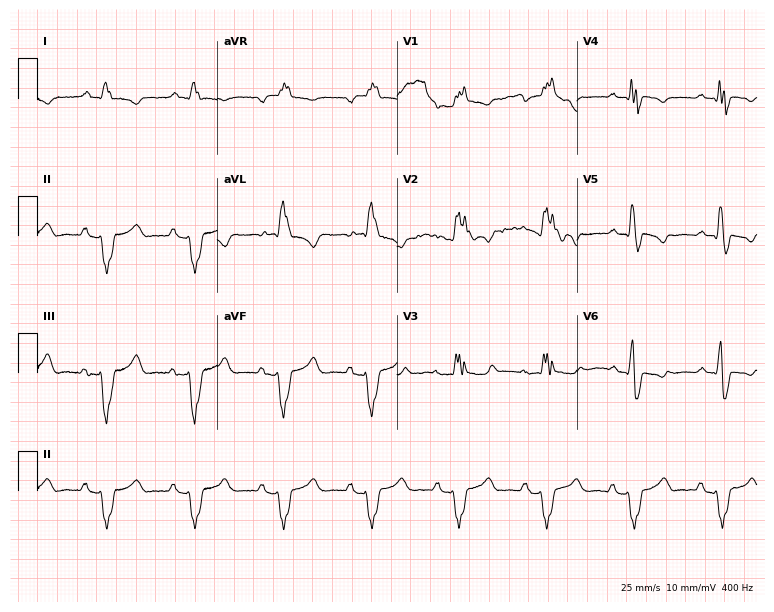
Standard 12-lead ECG recorded from a 61-year-old woman (7.3-second recording at 400 Hz). The tracing shows right bundle branch block.